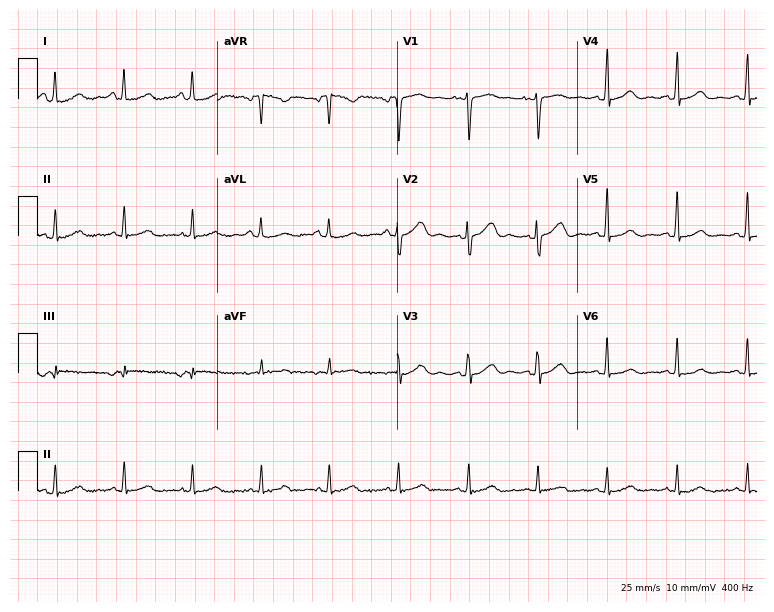
Standard 12-lead ECG recorded from a 27-year-old female patient. Read as a normal ECG.